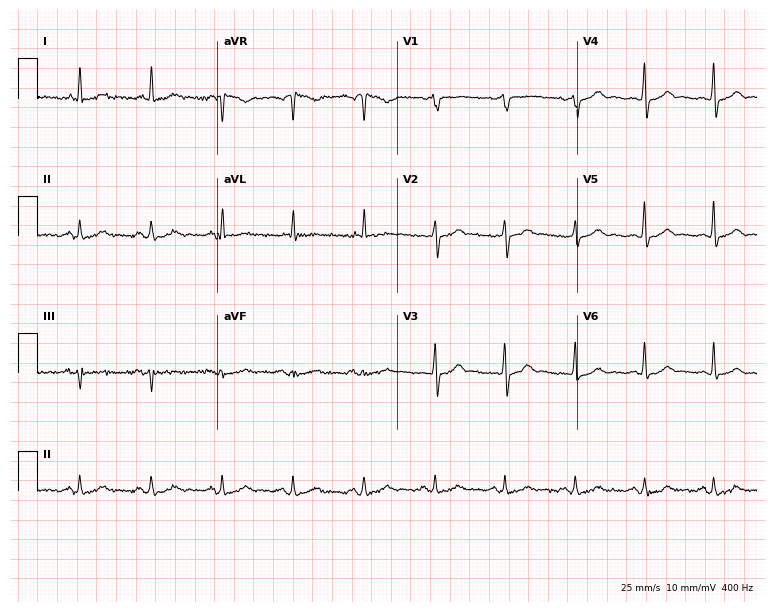
Resting 12-lead electrocardiogram (7.3-second recording at 400 Hz). Patient: a female, 66 years old. Read as a normal ECG.